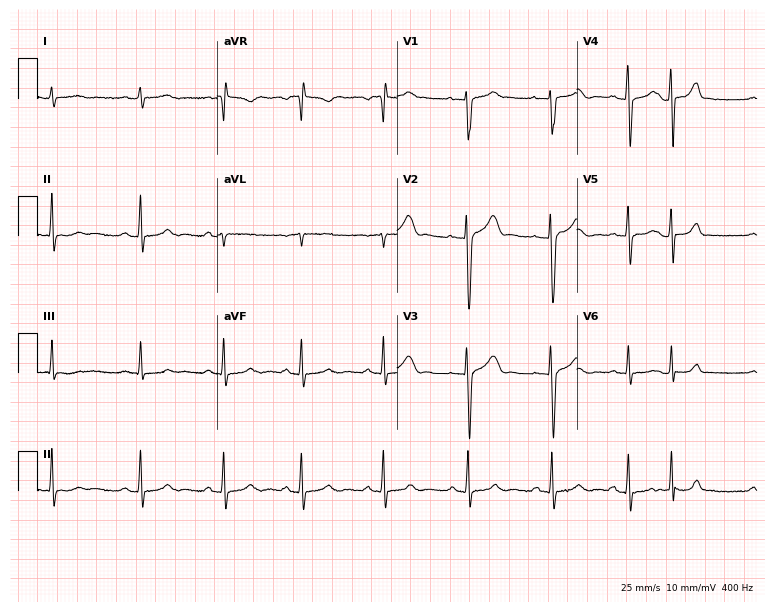
12-lead ECG from a female, 23 years old (7.3-second recording at 400 Hz). No first-degree AV block, right bundle branch block, left bundle branch block, sinus bradycardia, atrial fibrillation or sinus tachycardia recorded for this tracing. Only these six findings were labelled.